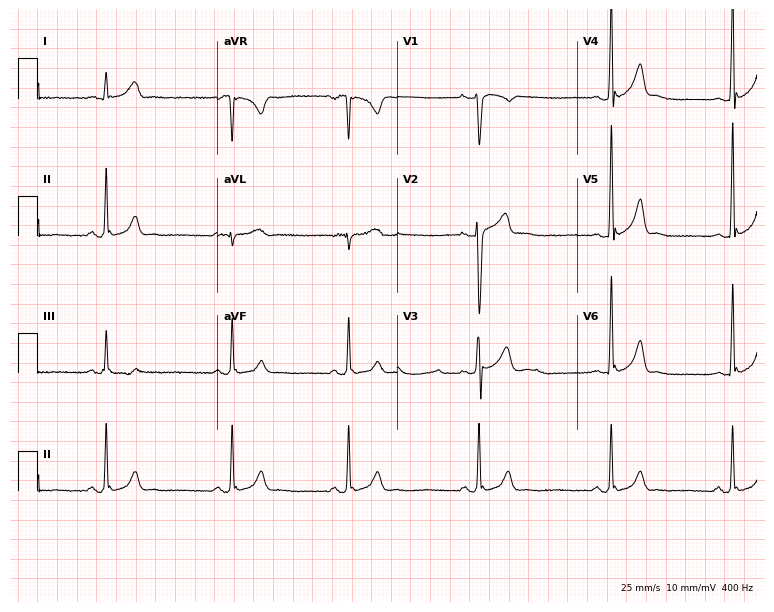
12-lead ECG from a 20-year-old male. Shows sinus bradycardia (a sinus rate of 50 beats per minute or less).